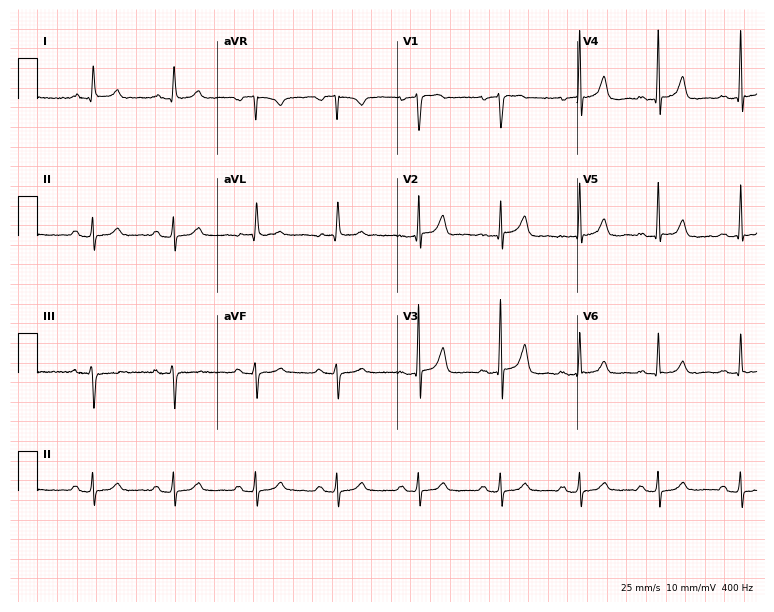
Standard 12-lead ECG recorded from a 44-year-old male patient. Read as a normal ECG.